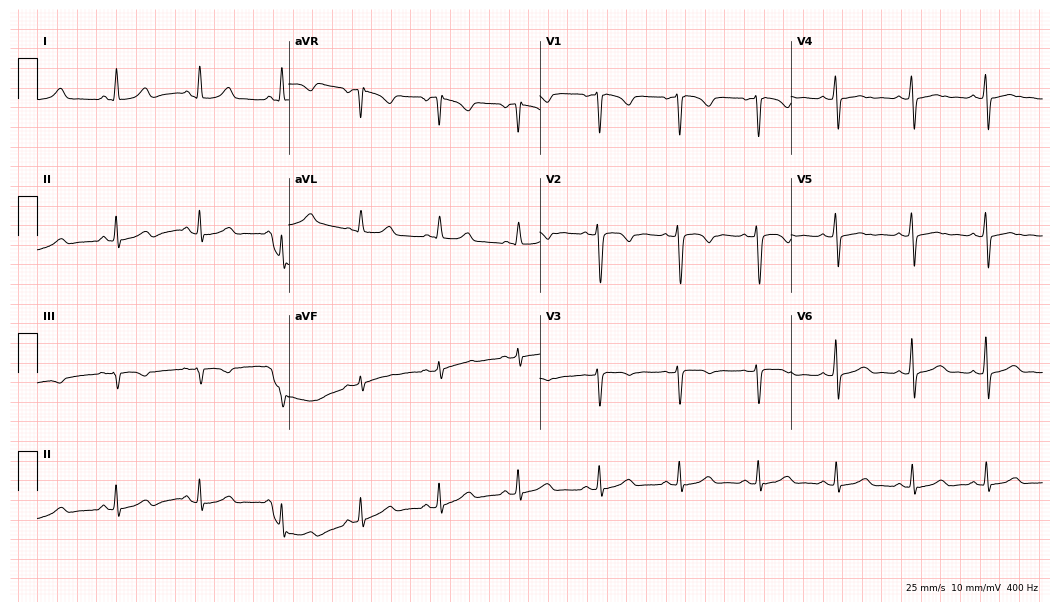
Standard 12-lead ECG recorded from a female patient, 40 years old. Read as a normal ECG.